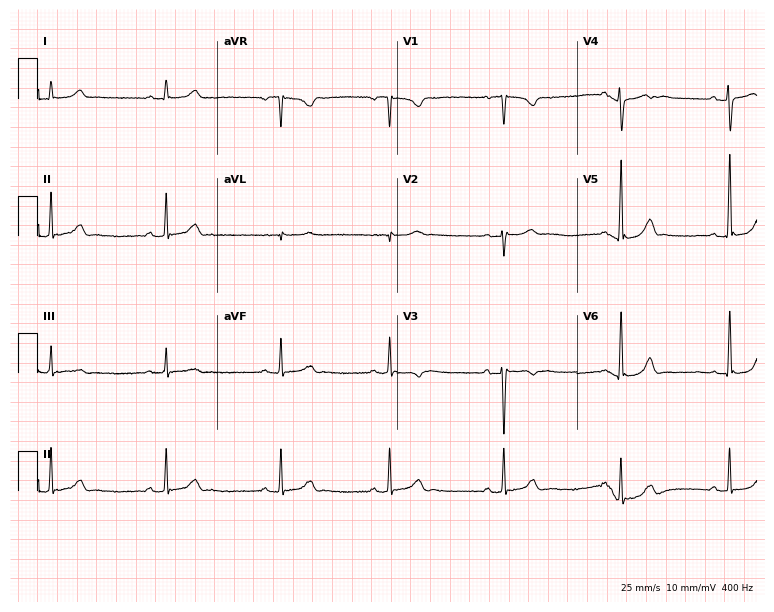
Resting 12-lead electrocardiogram (7.3-second recording at 400 Hz). Patient: a female, 31 years old. None of these six findings is recorded: first-degree AV block, right bundle branch block, left bundle branch block, sinus bradycardia, atrial fibrillation, sinus tachycardia.